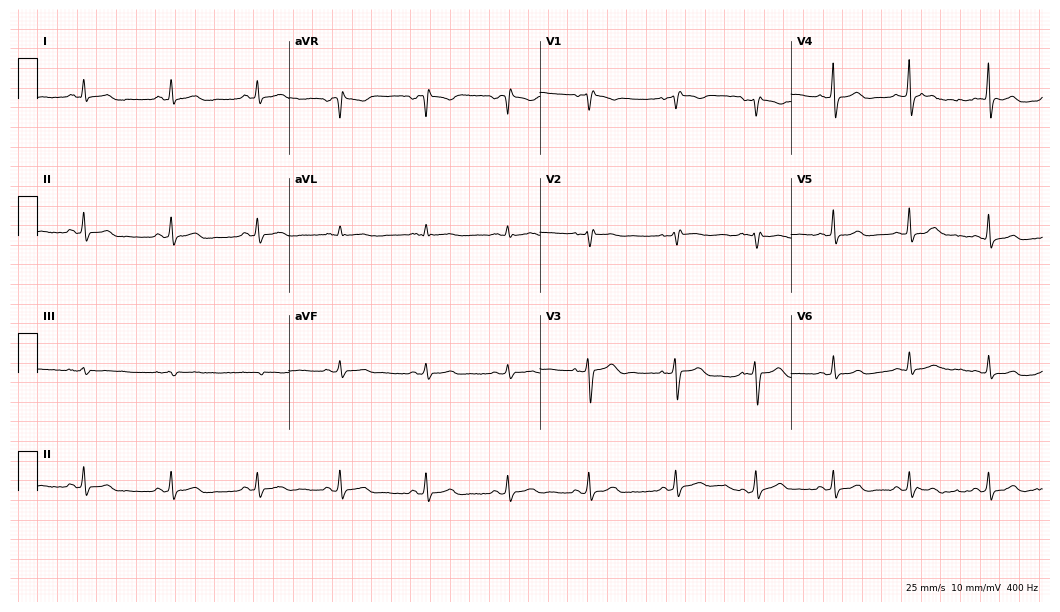
Resting 12-lead electrocardiogram (10.2-second recording at 400 Hz). Patient: a 36-year-old woman. Read as a normal ECG.